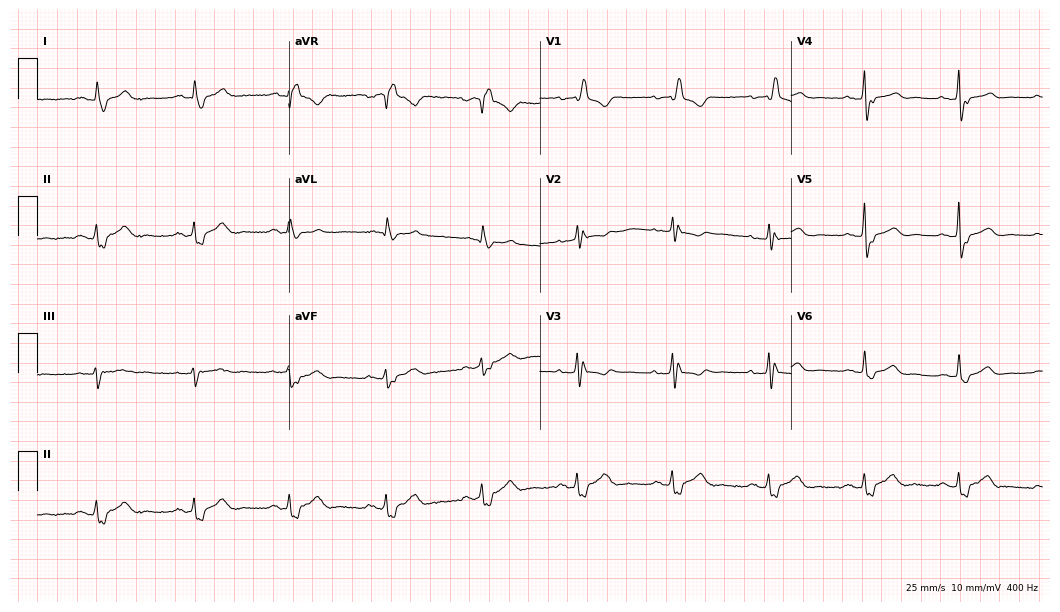
Electrocardiogram, a female patient, 69 years old. Interpretation includes right bundle branch block.